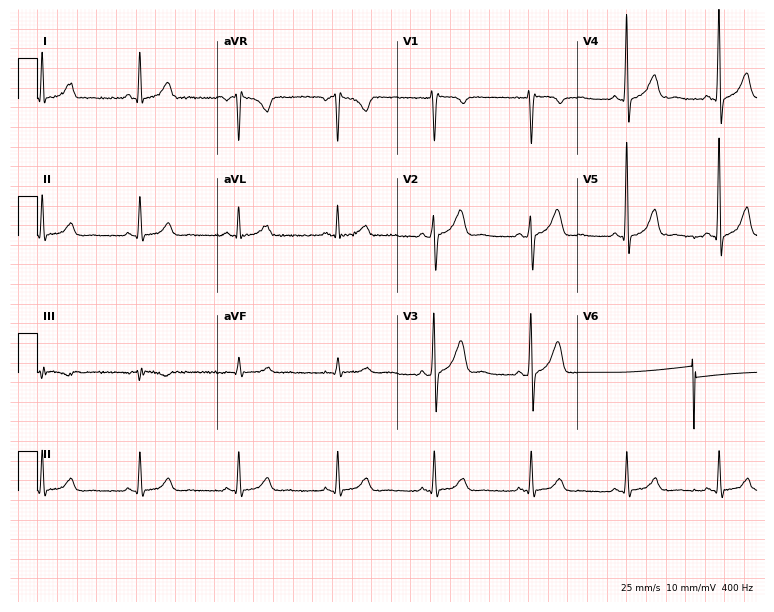
Standard 12-lead ECG recorded from a 47-year-old male patient (7.3-second recording at 400 Hz). None of these six findings is recorded: first-degree AV block, right bundle branch block, left bundle branch block, sinus bradycardia, atrial fibrillation, sinus tachycardia.